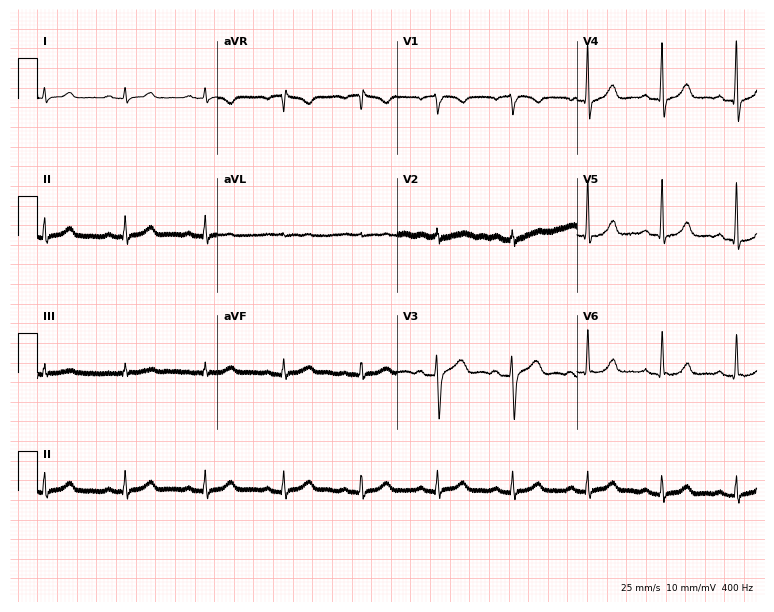
Standard 12-lead ECG recorded from a 61-year-old male. Read as a normal ECG.